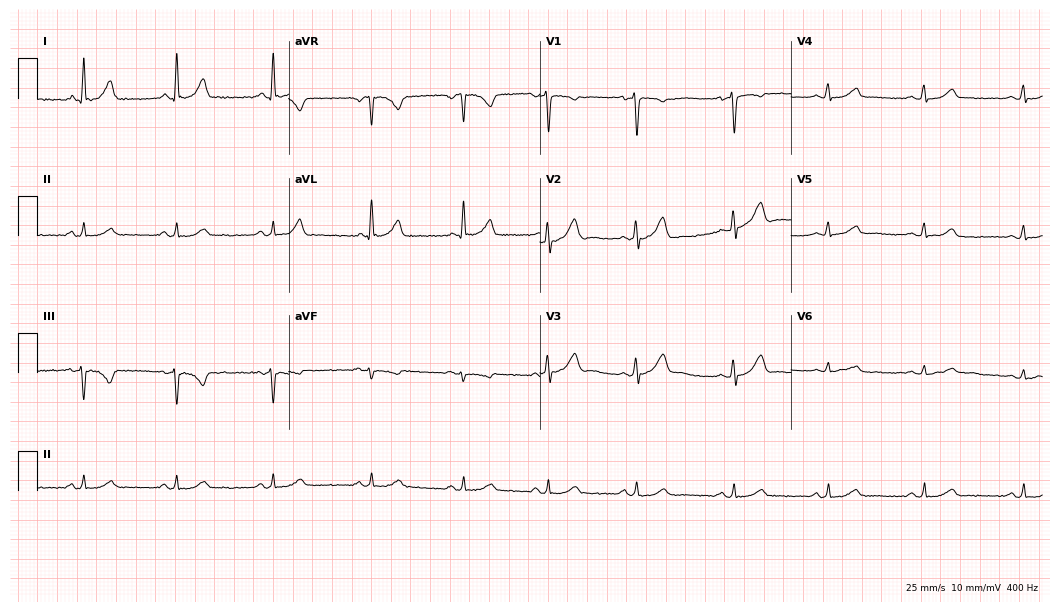
ECG — a 40-year-old female. Labelled as a normal ECG.